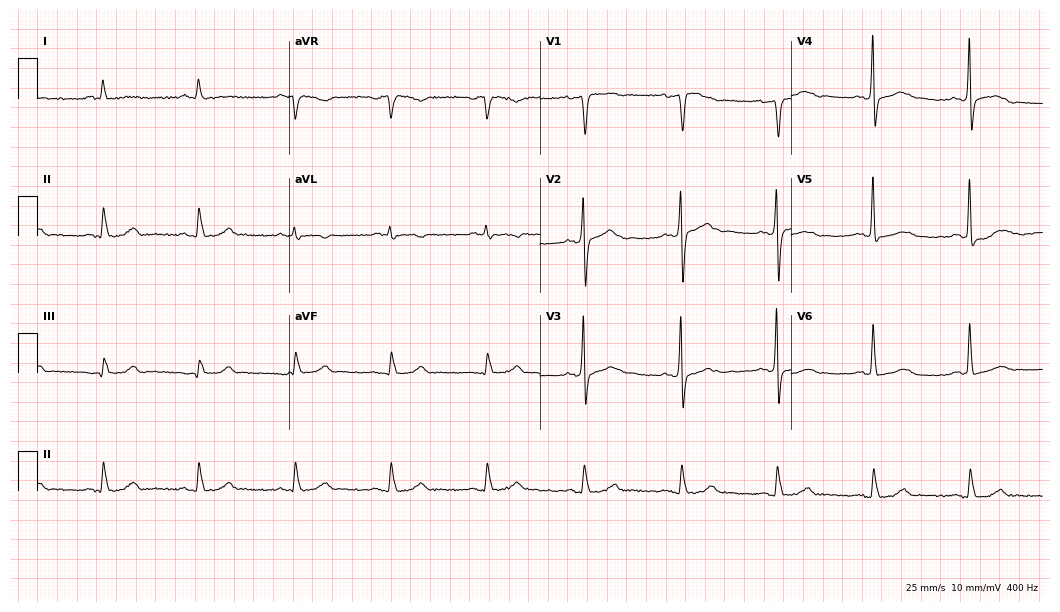
12-lead ECG from a male, 69 years old. Screened for six findings — first-degree AV block, right bundle branch block, left bundle branch block, sinus bradycardia, atrial fibrillation, sinus tachycardia — none is recorded. Findings outside these six are not listed.